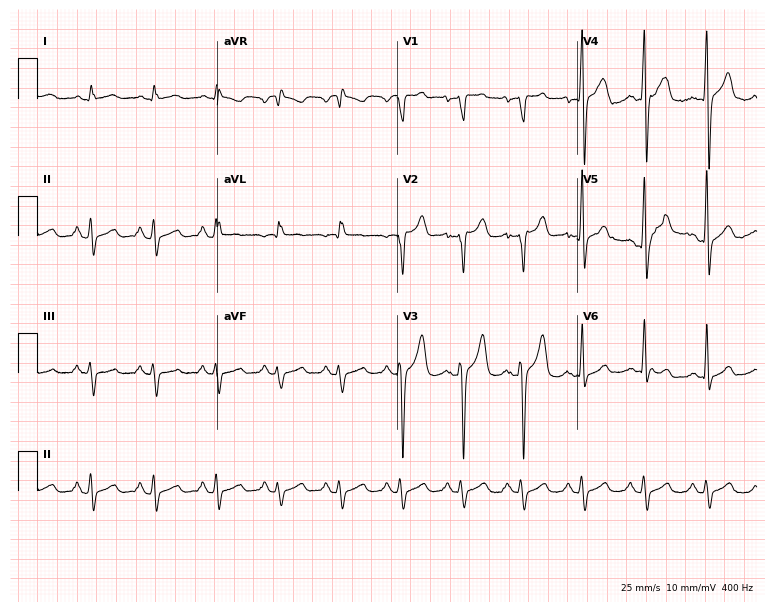
ECG — a male, 53 years old. Screened for six findings — first-degree AV block, right bundle branch block, left bundle branch block, sinus bradycardia, atrial fibrillation, sinus tachycardia — none is recorded. Findings outside these six are not listed.